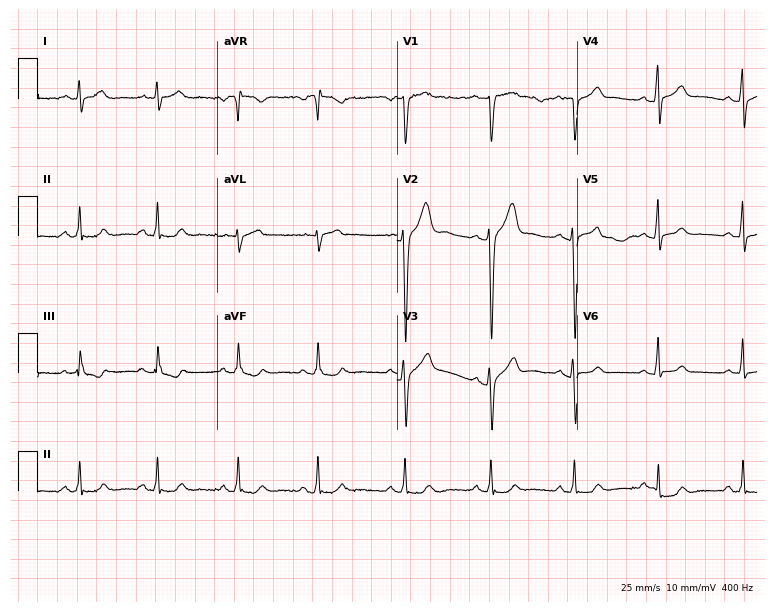
ECG (7.3-second recording at 400 Hz) — a 35-year-old male. Labelled as a normal ECG.